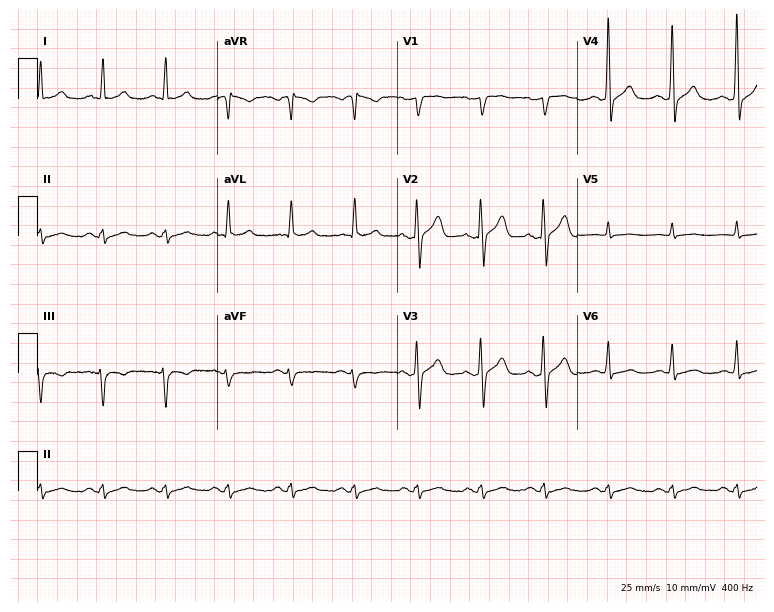
12-lead ECG from a 69-year-old male. Labelled as a normal ECG.